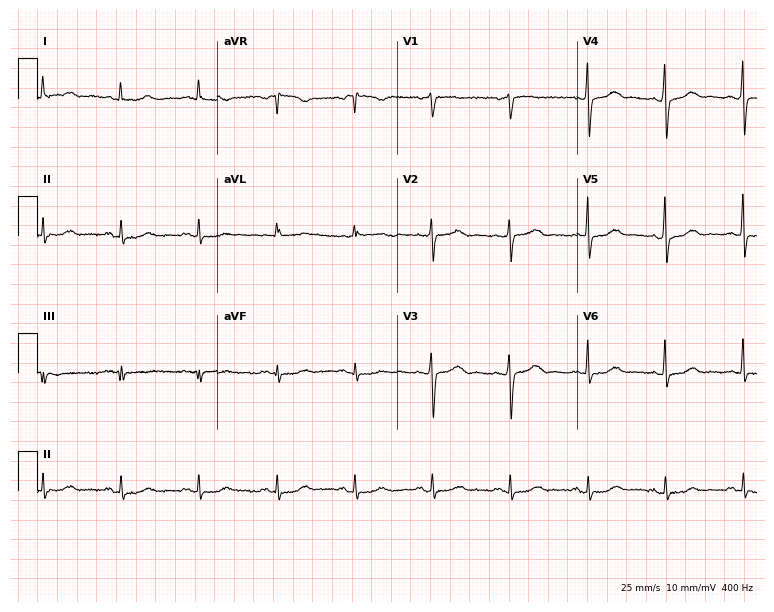
Electrocardiogram, a female, 52 years old. Overall reading on record: normal ECG.